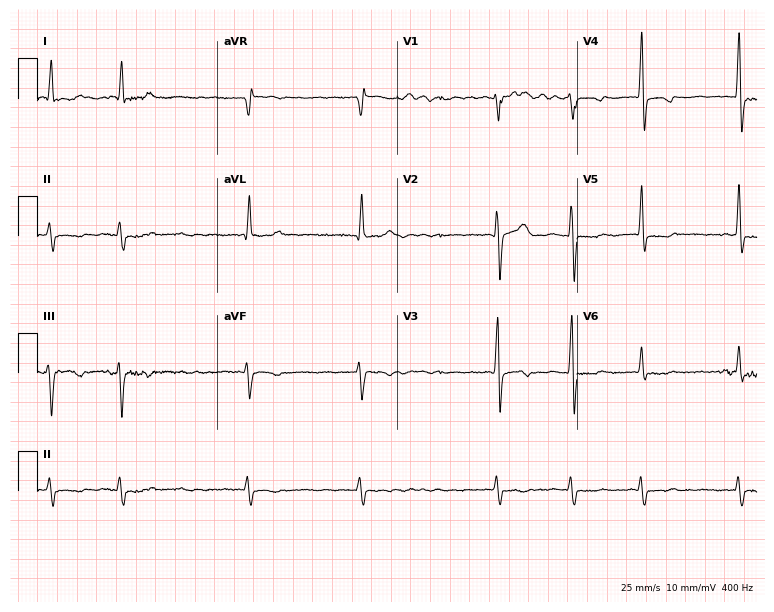
ECG — a male, 66 years old. Findings include atrial fibrillation.